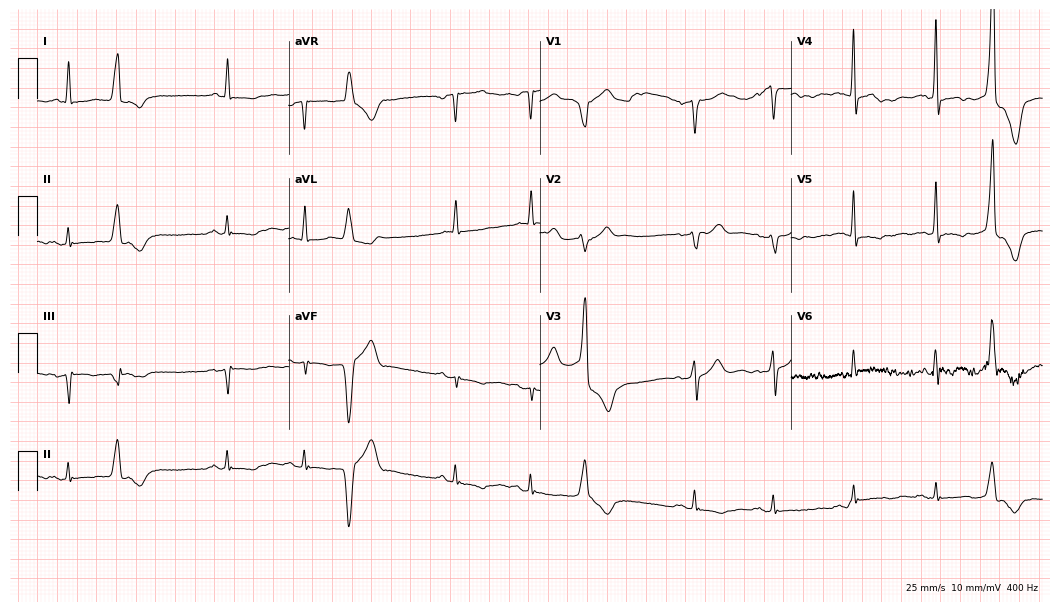
Electrocardiogram (10.2-second recording at 400 Hz), a male, 63 years old. Of the six screened findings (first-degree AV block, right bundle branch block (RBBB), left bundle branch block (LBBB), sinus bradycardia, atrial fibrillation (AF), sinus tachycardia), none is recorded. Only these six findings were labelled.